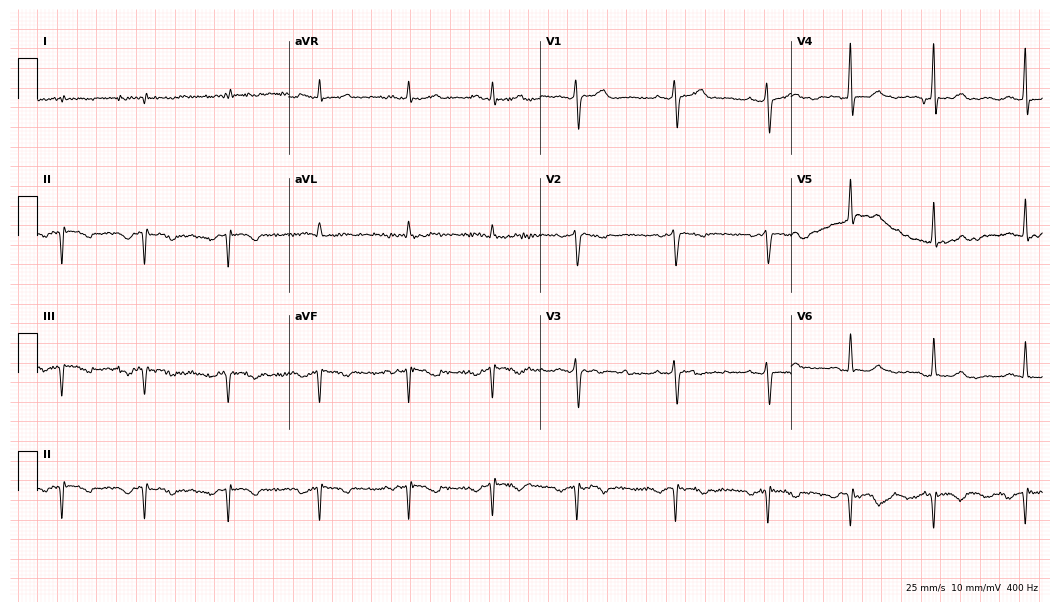
12-lead ECG (10.2-second recording at 400 Hz) from a female, 55 years old. Screened for six findings — first-degree AV block, right bundle branch block, left bundle branch block, sinus bradycardia, atrial fibrillation, sinus tachycardia — none is recorded. Only these six findings were labelled.